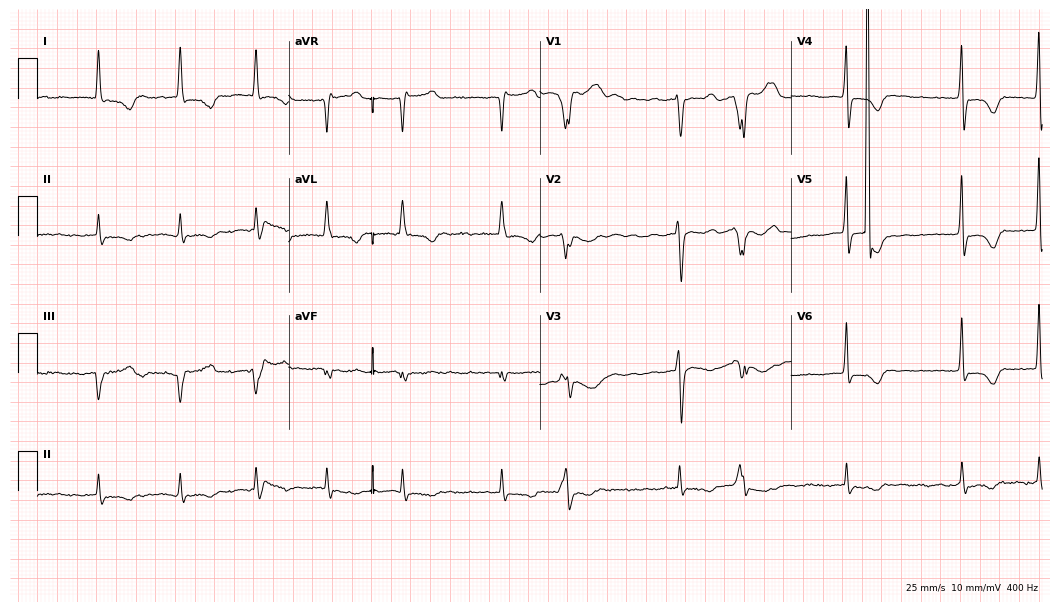
12-lead ECG (10.2-second recording at 400 Hz) from a woman, 72 years old. Findings include atrial fibrillation.